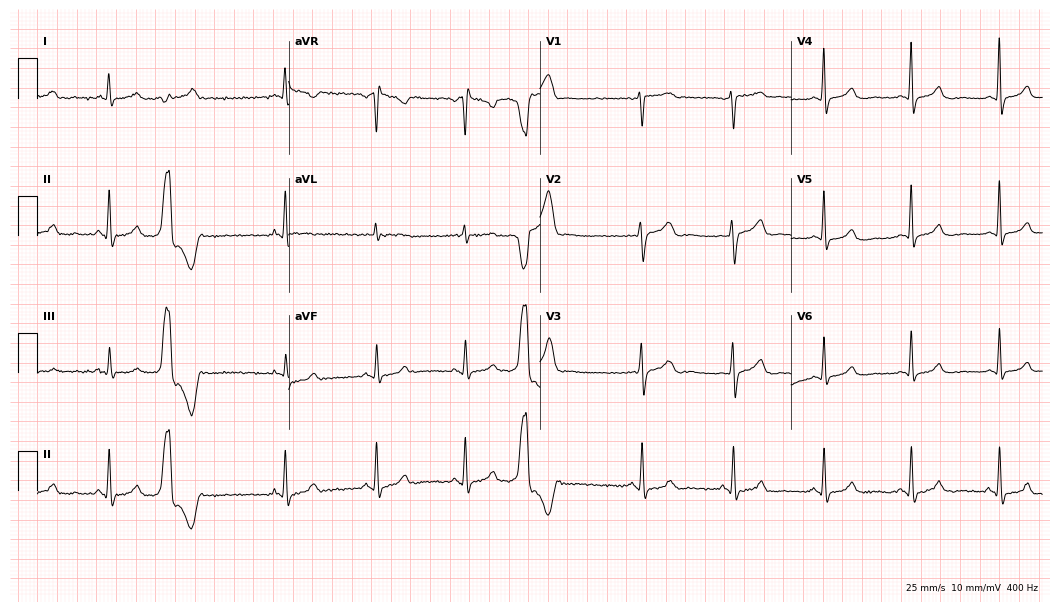
Resting 12-lead electrocardiogram (10.2-second recording at 400 Hz). Patient: a female, 42 years old. None of these six findings is recorded: first-degree AV block, right bundle branch block (RBBB), left bundle branch block (LBBB), sinus bradycardia, atrial fibrillation (AF), sinus tachycardia. Only these six findings were labelled.